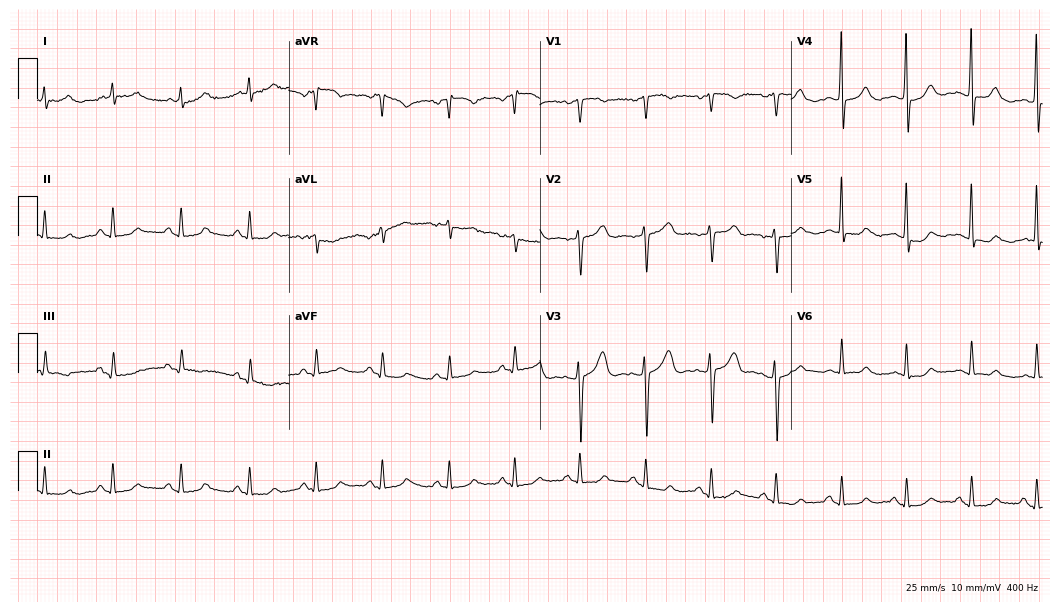
Resting 12-lead electrocardiogram. Patient: a woman, 45 years old. Read as a normal ECG.